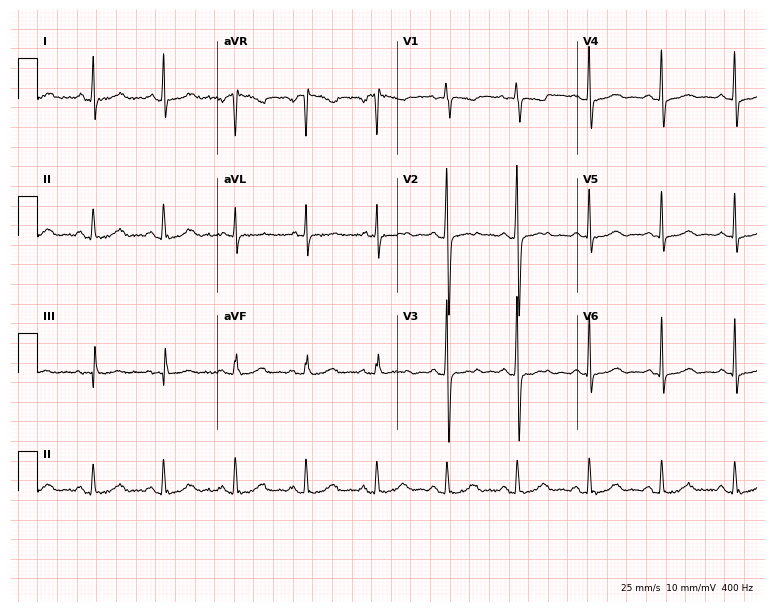
12-lead ECG (7.3-second recording at 400 Hz) from a 43-year-old female patient. Screened for six findings — first-degree AV block, right bundle branch block (RBBB), left bundle branch block (LBBB), sinus bradycardia, atrial fibrillation (AF), sinus tachycardia — none is recorded.